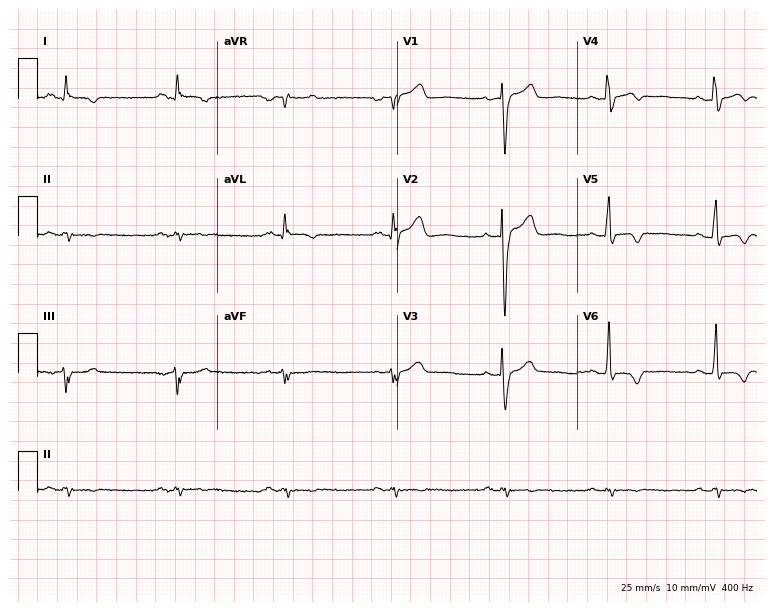
Resting 12-lead electrocardiogram (7.3-second recording at 400 Hz). Patient: a male, 36 years old. None of these six findings is recorded: first-degree AV block, right bundle branch block, left bundle branch block, sinus bradycardia, atrial fibrillation, sinus tachycardia.